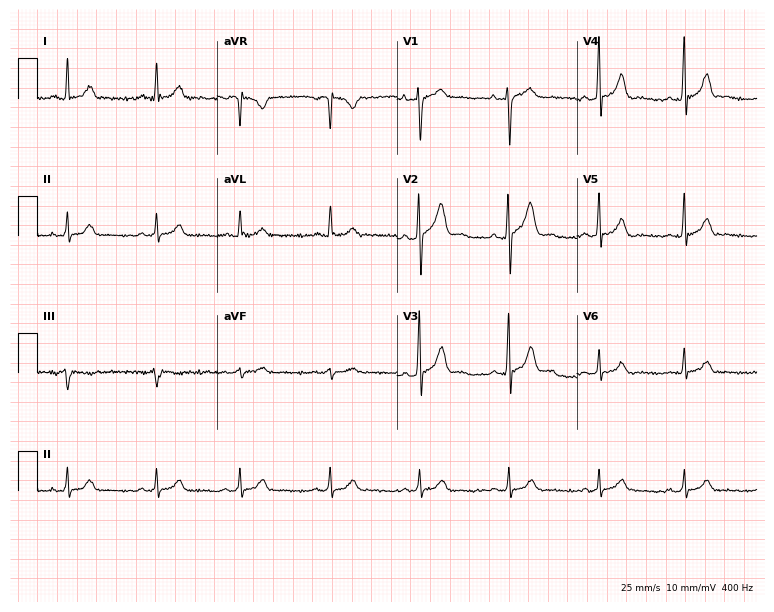
Resting 12-lead electrocardiogram (7.3-second recording at 400 Hz). Patient: a female, 23 years old. Read as a normal ECG.